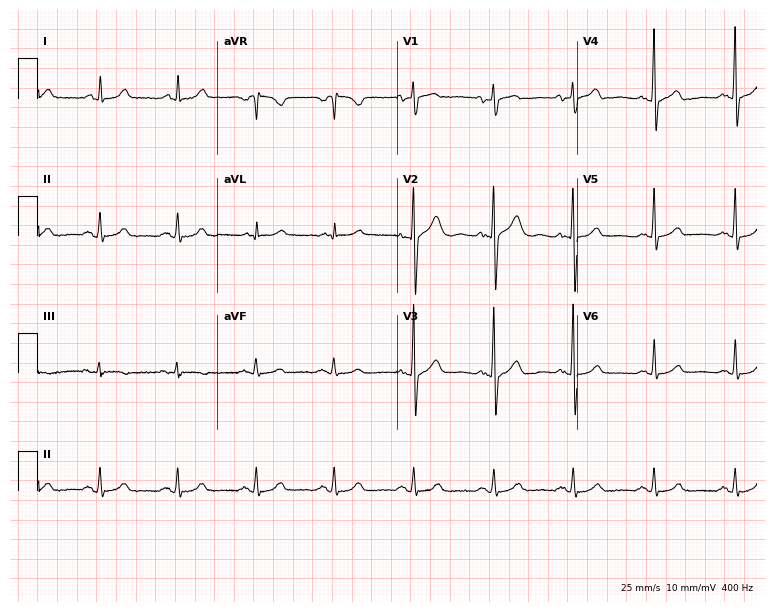
ECG (7.3-second recording at 400 Hz) — a female, 82 years old. Labelled as a normal ECG.